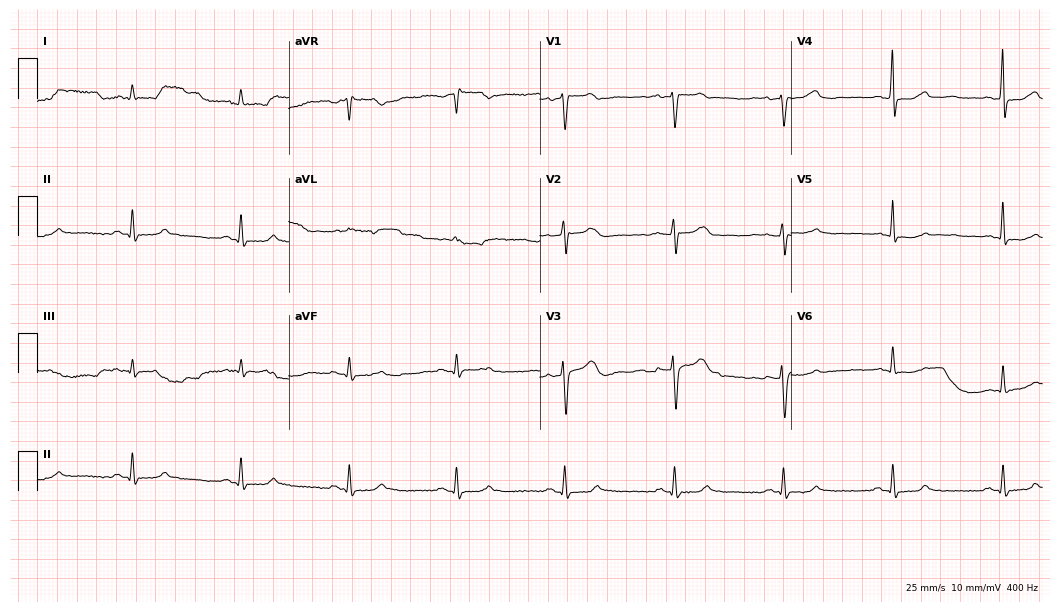
Resting 12-lead electrocardiogram (10.2-second recording at 400 Hz). Patient: a 69-year-old male. Read as a normal ECG.